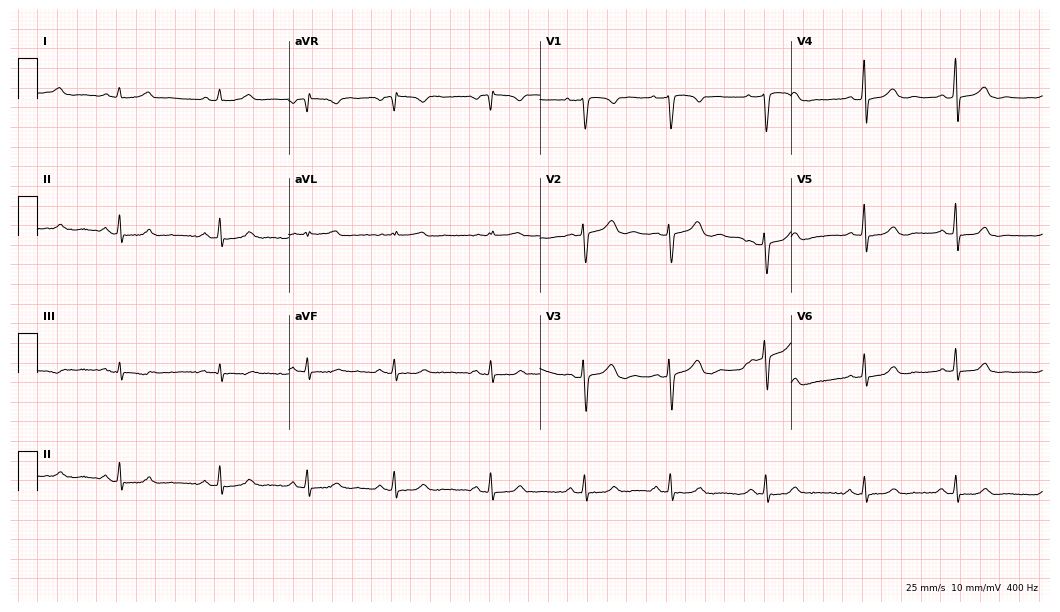
ECG (10.2-second recording at 400 Hz) — a 27-year-old woman. Labelled as a normal ECG.